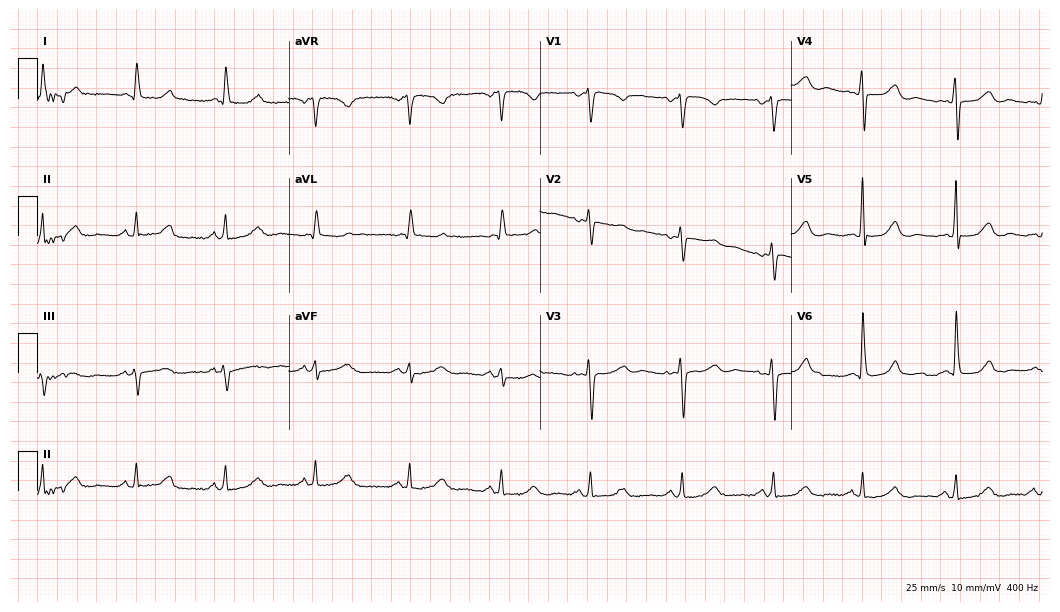
12-lead ECG from a woman, 67 years old. Screened for six findings — first-degree AV block, right bundle branch block, left bundle branch block, sinus bradycardia, atrial fibrillation, sinus tachycardia — none is recorded.